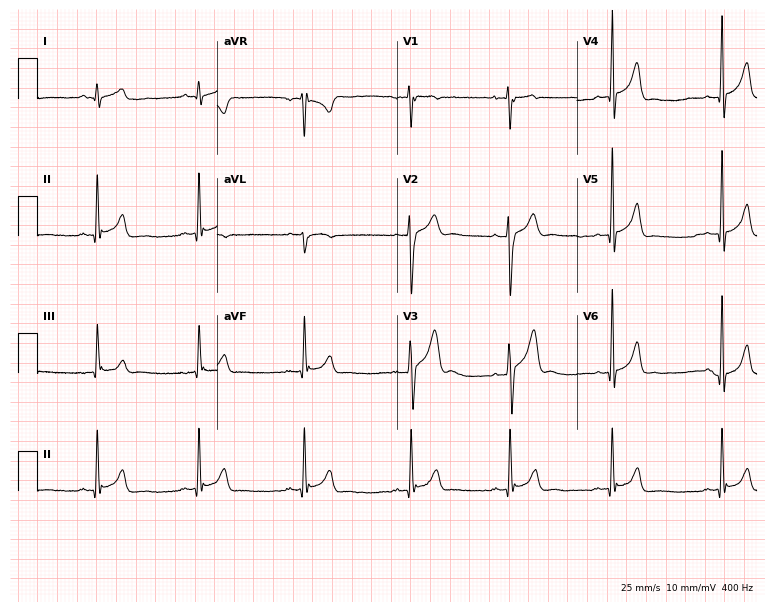
ECG — an 18-year-old male. Screened for six findings — first-degree AV block, right bundle branch block (RBBB), left bundle branch block (LBBB), sinus bradycardia, atrial fibrillation (AF), sinus tachycardia — none is recorded. Findings outside these six are not listed.